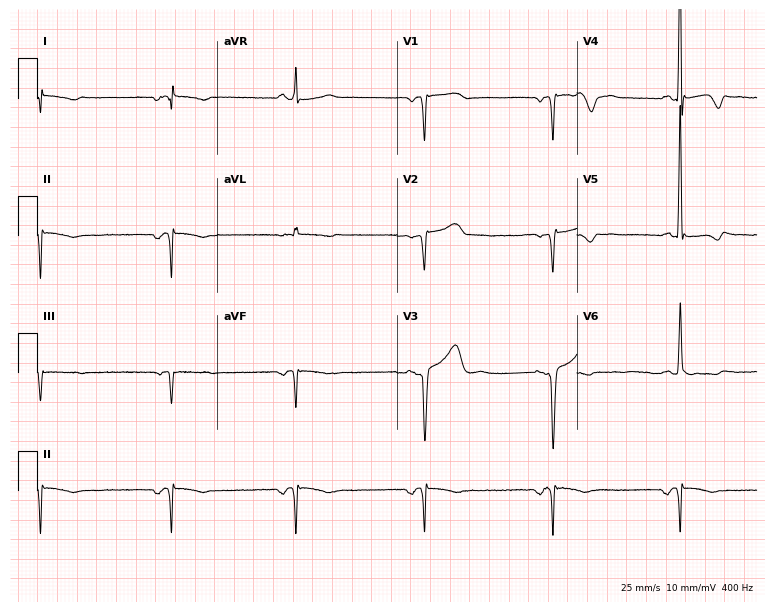
12-lead ECG from a 64-year-old female patient. Screened for six findings — first-degree AV block, right bundle branch block, left bundle branch block, sinus bradycardia, atrial fibrillation, sinus tachycardia — none is recorded. Only these six findings were labelled.